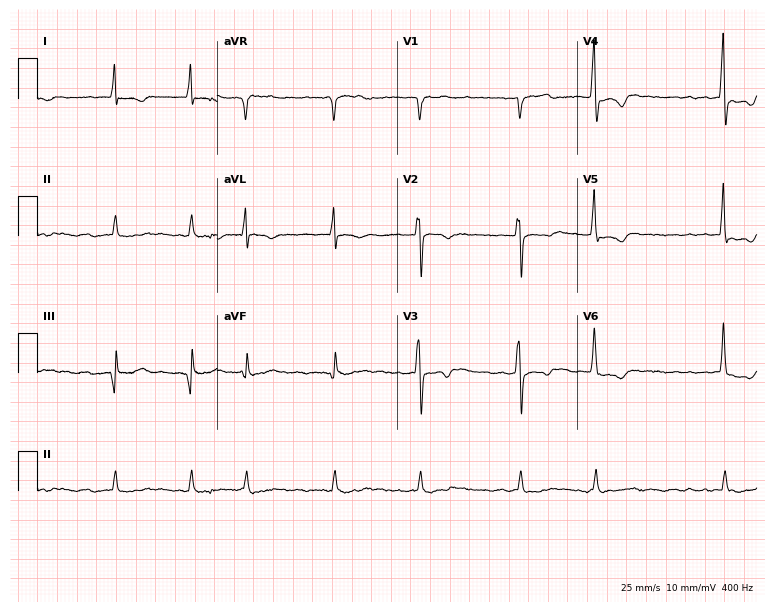
12-lead ECG from a 63-year-old male patient. No first-degree AV block, right bundle branch block, left bundle branch block, sinus bradycardia, atrial fibrillation or sinus tachycardia recorded for this tracing.